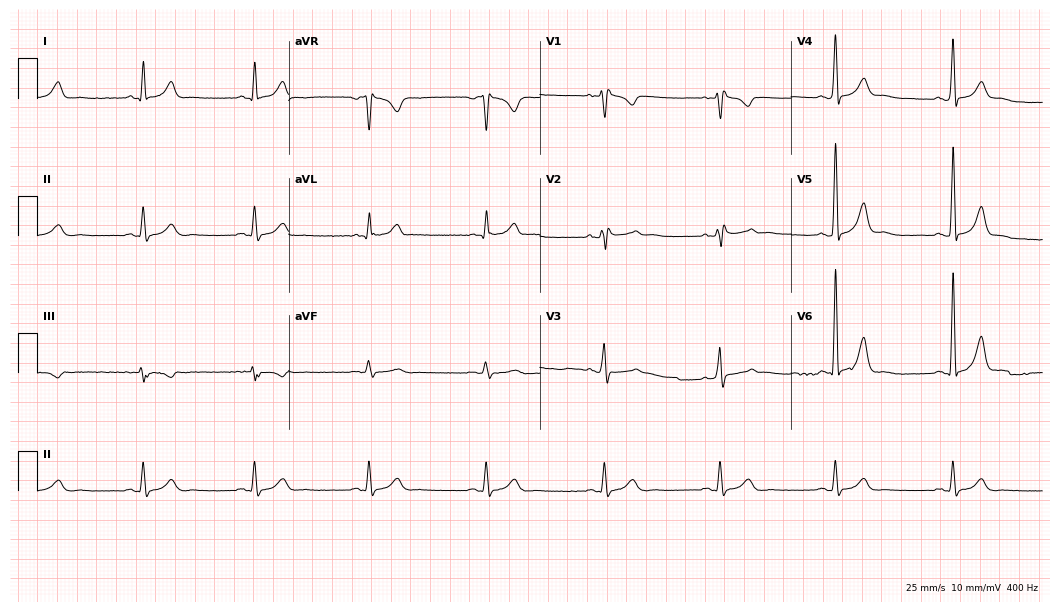
12-lead ECG from a male, 51 years old. No first-degree AV block, right bundle branch block, left bundle branch block, sinus bradycardia, atrial fibrillation or sinus tachycardia recorded for this tracing.